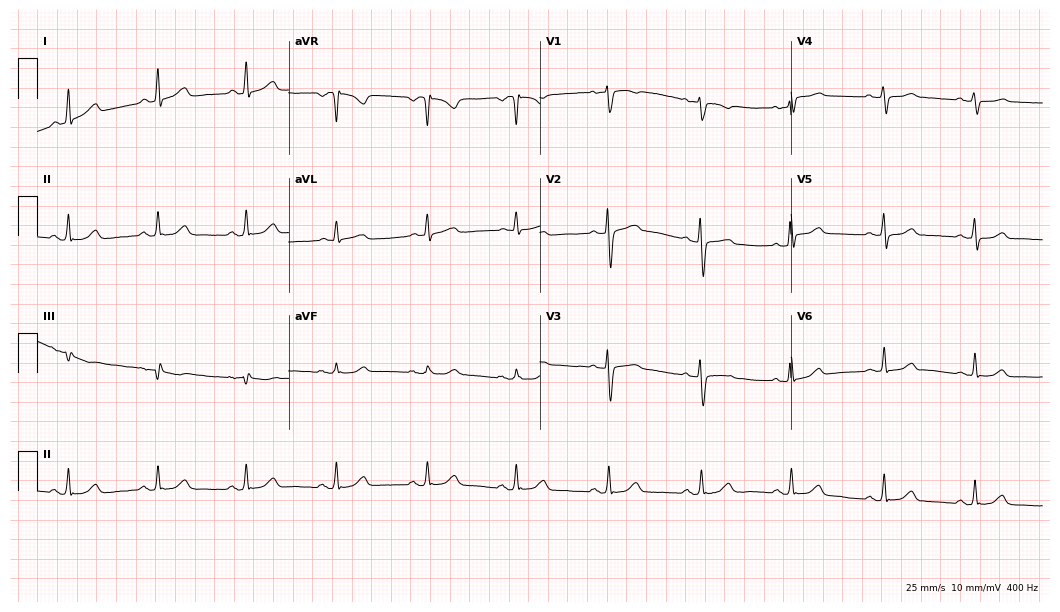
Resting 12-lead electrocardiogram (10.2-second recording at 400 Hz). Patient: a woman, 54 years old. Read as a normal ECG.